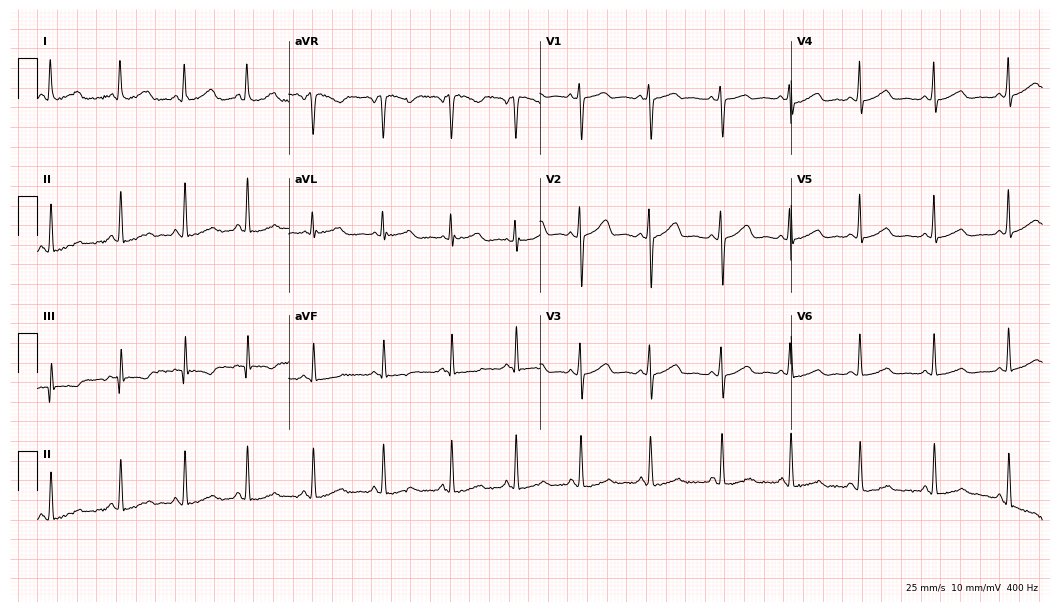
12-lead ECG from a woman, 28 years old. Recorded interpretation: within normal limits.